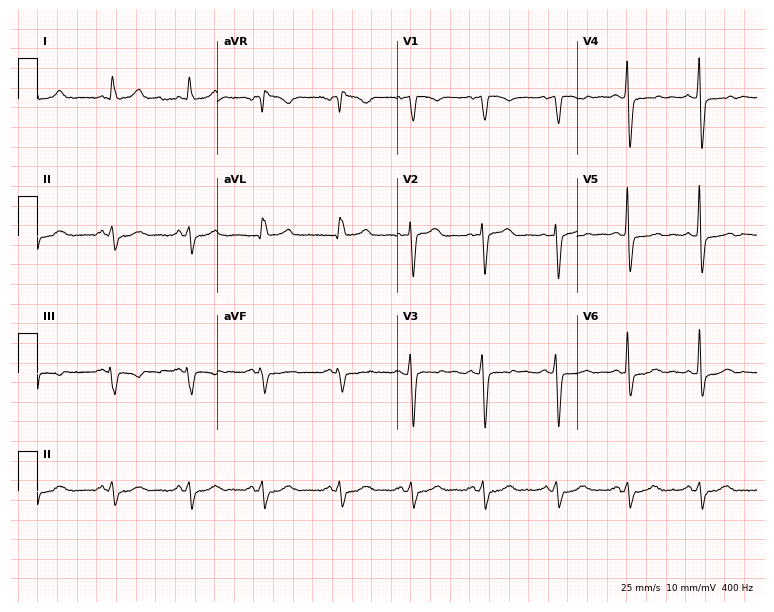
ECG (7.3-second recording at 400 Hz) — a 52-year-old male. Screened for six findings — first-degree AV block, right bundle branch block, left bundle branch block, sinus bradycardia, atrial fibrillation, sinus tachycardia — none is recorded.